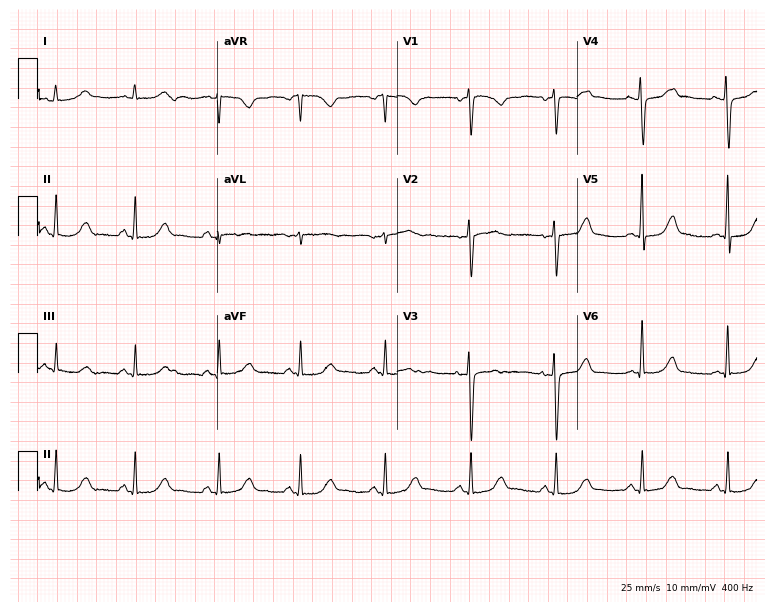
Electrocardiogram (7.3-second recording at 400 Hz), a female, 56 years old. Of the six screened findings (first-degree AV block, right bundle branch block, left bundle branch block, sinus bradycardia, atrial fibrillation, sinus tachycardia), none is recorded.